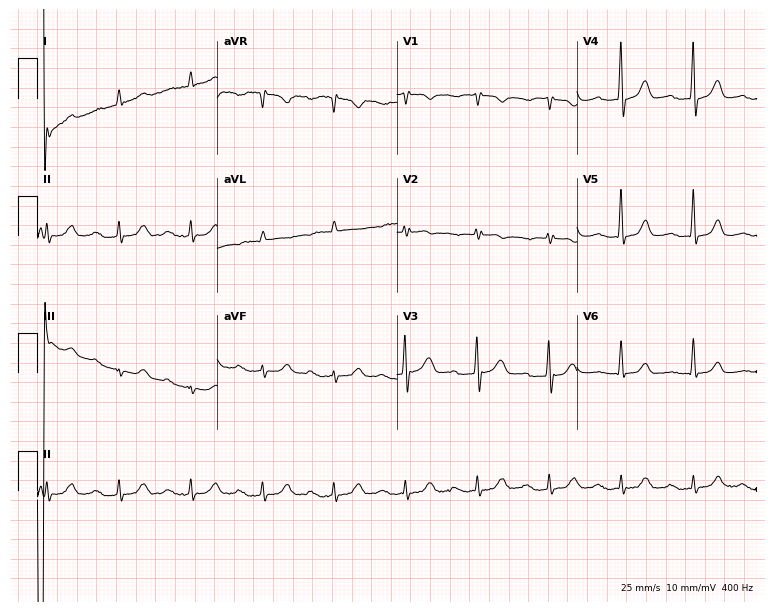
ECG (7.3-second recording at 400 Hz) — an 84-year-old male patient. Findings include first-degree AV block.